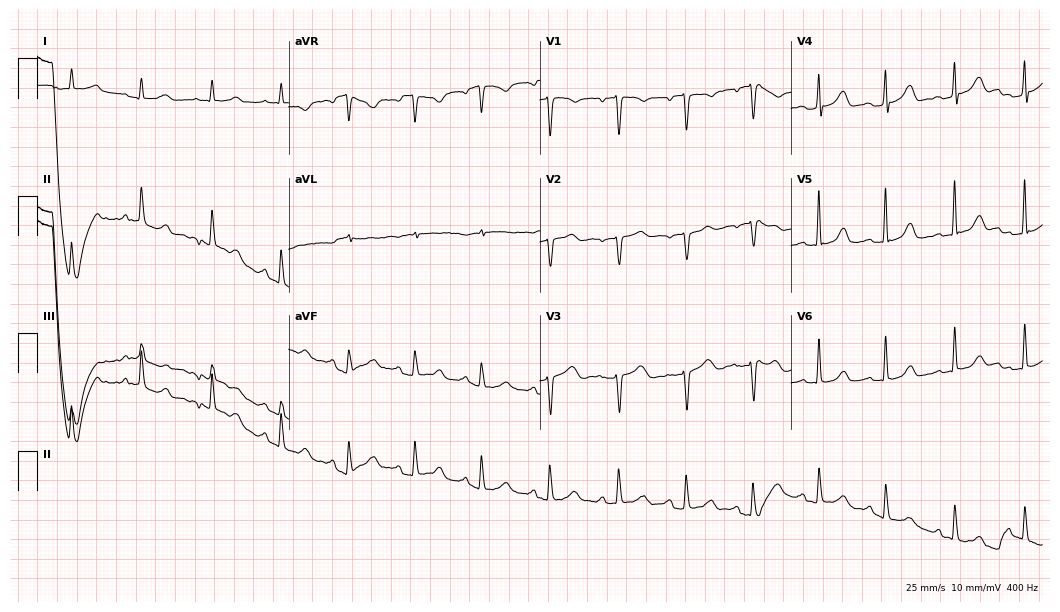
Resting 12-lead electrocardiogram (10.2-second recording at 400 Hz). Patient: a 53-year-old woman. None of these six findings is recorded: first-degree AV block, right bundle branch block (RBBB), left bundle branch block (LBBB), sinus bradycardia, atrial fibrillation (AF), sinus tachycardia.